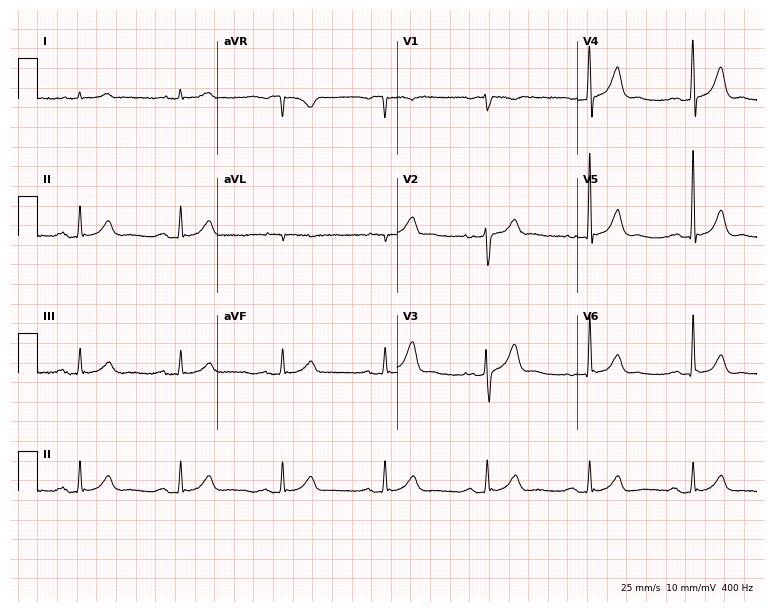
Standard 12-lead ECG recorded from a male, 67 years old. Read as a normal ECG.